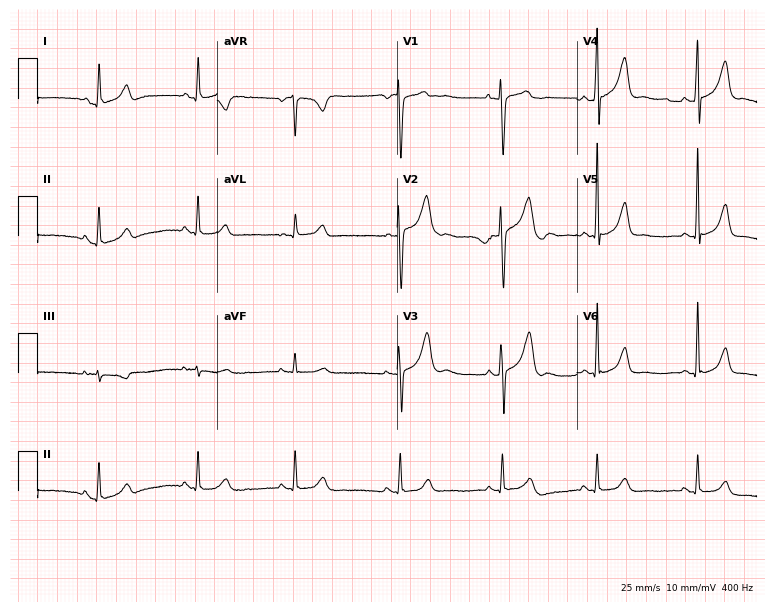
Electrocardiogram (7.3-second recording at 400 Hz), a female, 43 years old. Overall reading on record: normal ECG.